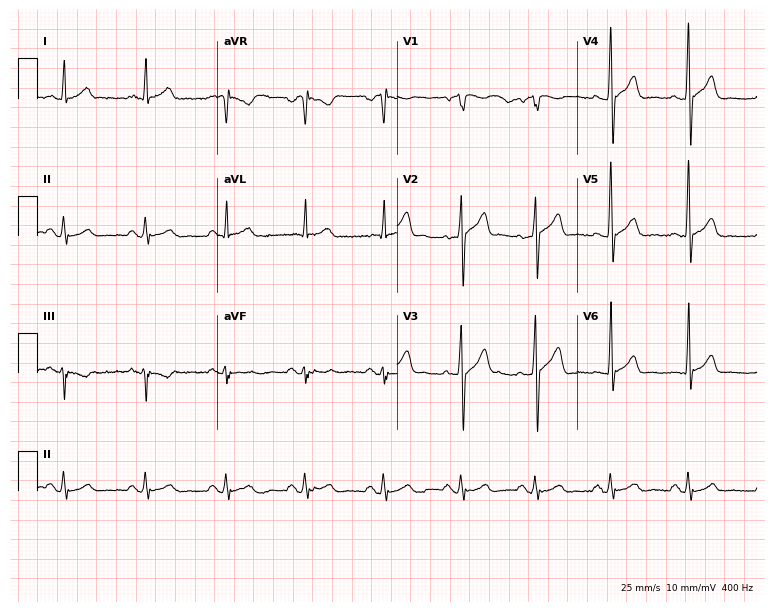
12-lead ECG from a man, 50 years old (7.3-second recording at 400 Hz). Recorded interpretation: within normal limits.